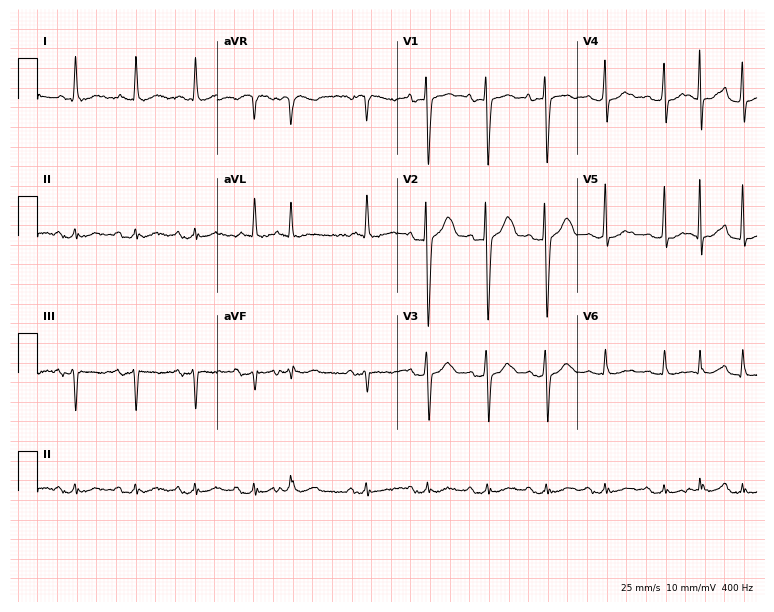
Standard 12-lead ECG recorded from an 83-year-old female (7.3-second recording at 400 Hz). None of these six findings is recorded: first-degree AV block, right bundle branch block (RBBB), left bundle branch block (LBBB), sinus bradycardia, atrial fibrillation (AF), sinus tachycardia. Only these six findings were labelled.